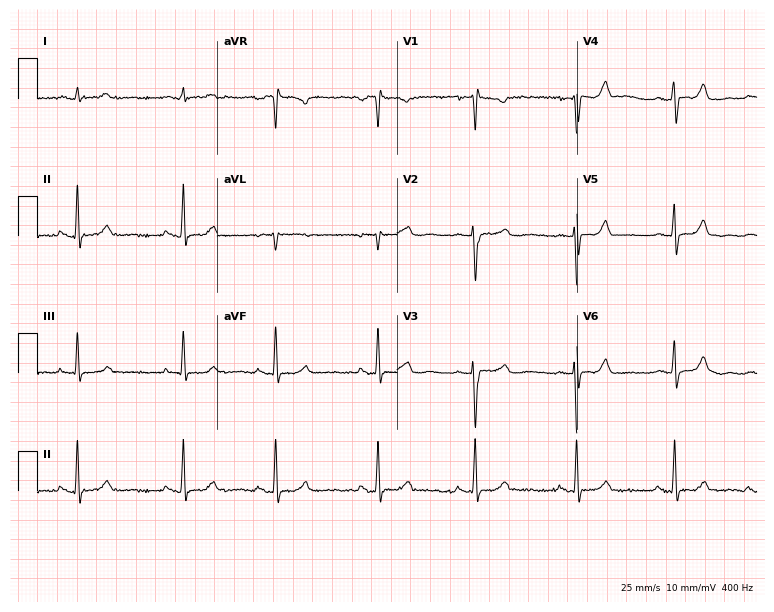
Electrocardiogram (7.3-second recording at 400 Hz), a 43-year-old female. Overall reading on record: normal ECG.